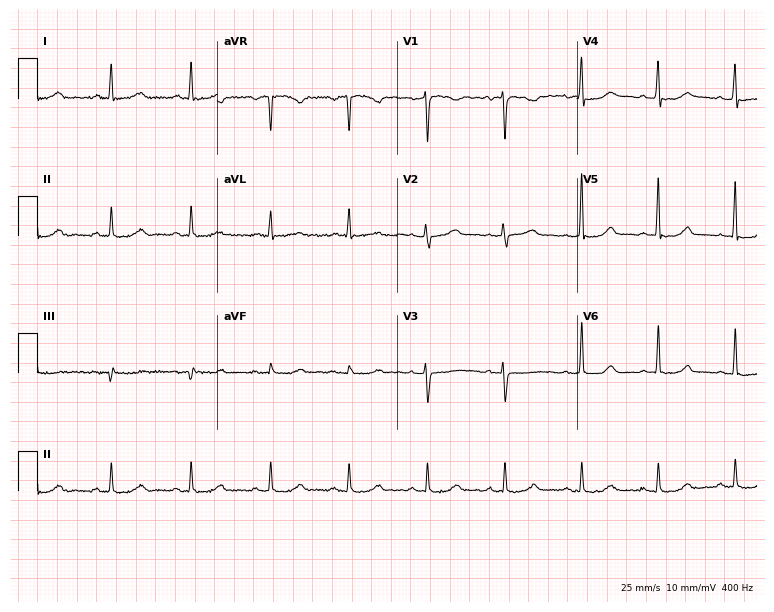
Electrocardiogram (7.3-second recording at 400 Hz), a woman, 58 years old. Of the six screened findings (first-degree AV block, right bundle branch block, left bundle branch block, sinus bradycardia, atrial fibrillation, sinus tachycardia), none is recorded.